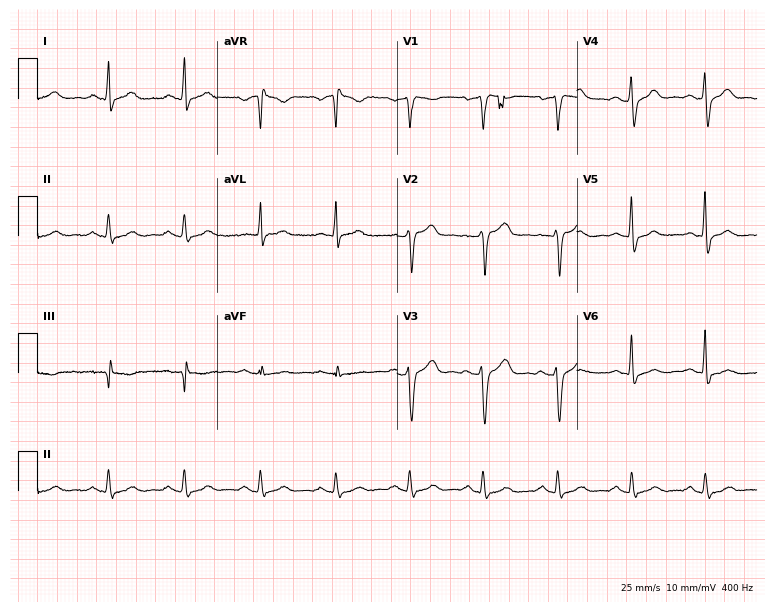
ECG (7.3-second recording at 400 Hz) — a 59-year-old man. Screened for six findings — first-degree AV block, right bundle branch block, left bundle branch block, sinus bradycardia, atrial fibrillation, sinus tachycardia — none is recorded.